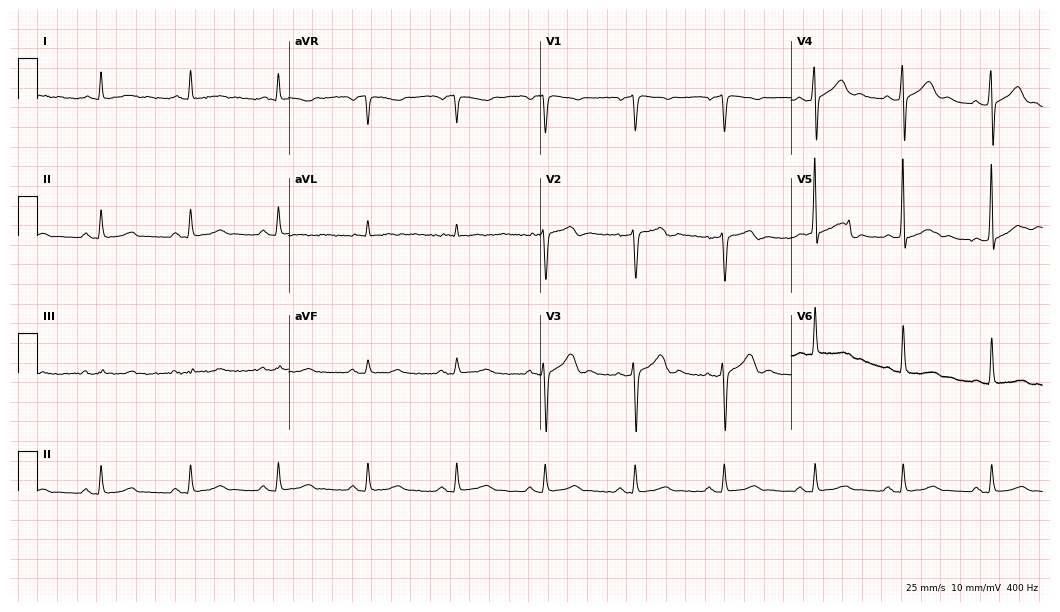
ECG (10.2-second recording at 400 Hz) — a 52-year-old male. Screened for six findings — first-degree AV block, right bundle branch block, left bundle branch block, sinus bradycardia, atrial fibrillation, sinus tachycardia — none is recorded.